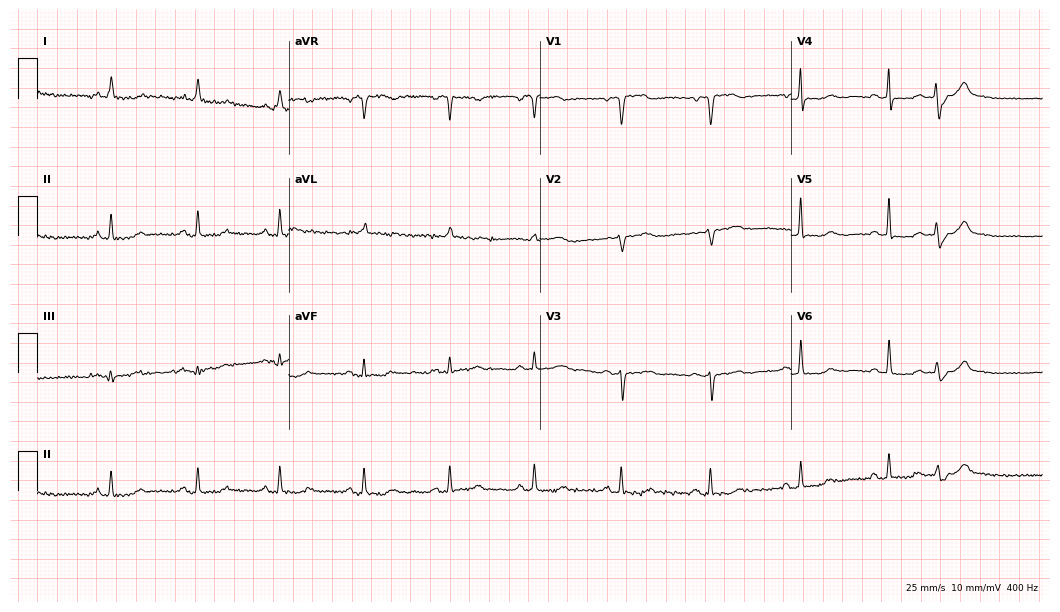
Electrocardiogram (10.2-second recording at 400 Hz), a female, 81 years old. Overall reading on record: normal ECG.